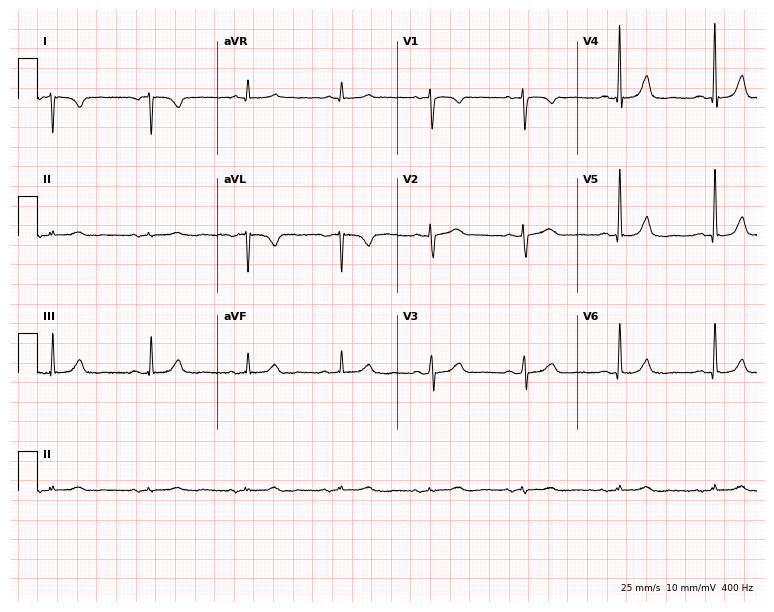
Standard 12-lead ECG recorded from a 61-year-old female patient (7.3-second recording at 400 Hz). None of these six findings is recorded: first-degree AV block, right bundle branch block (RBBB), left bundle branch block (LBBB), sinus bradycardia, atrial fibrillation (AF), sinus tachycardia. Only these six findings were labelled.